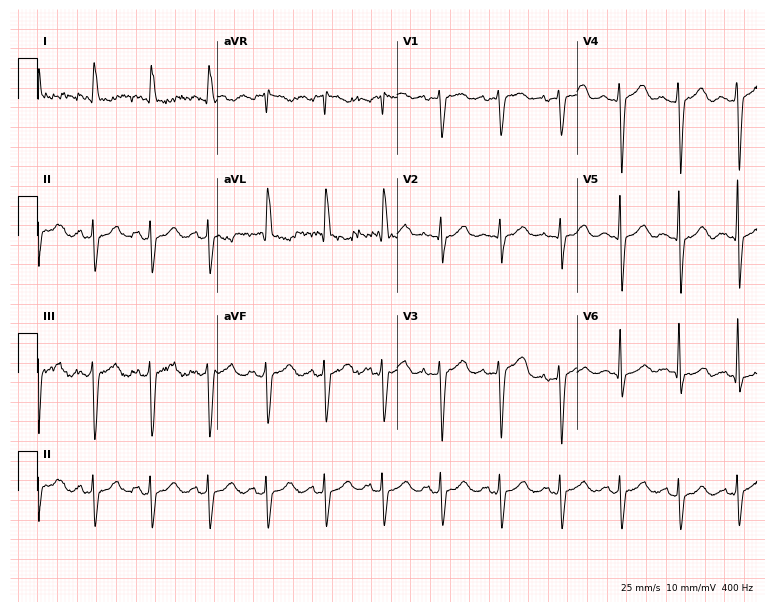
Electrocardiogram, a female, 80 years old. Interpretation includes sinus tachycardia (a sinus rate of 100 beats per minute or more).